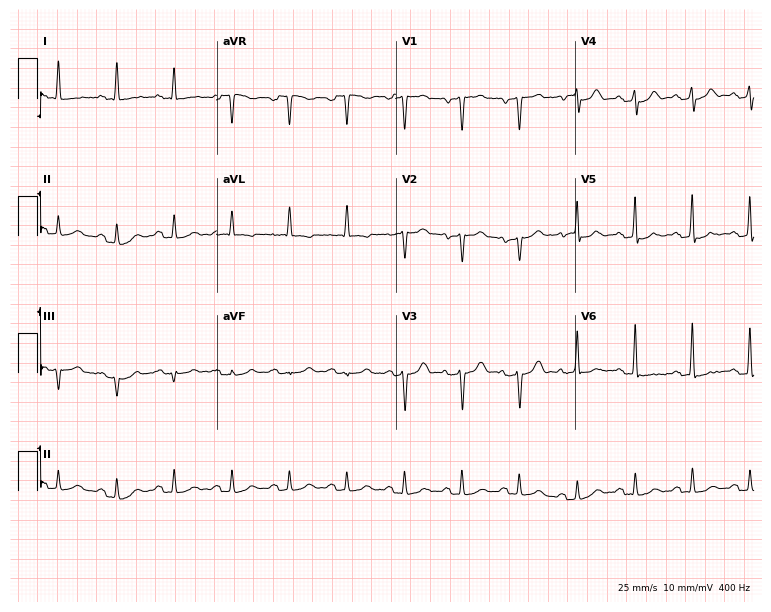
ECG — a 64-year-old man. Screened for six findings — first-degree AV block, right bundle branch block, left bundle branch block, sinus bradycardia, atrial fibrillation, sinus tachycardia — none is recorded. Other findings, if any, are not listed.